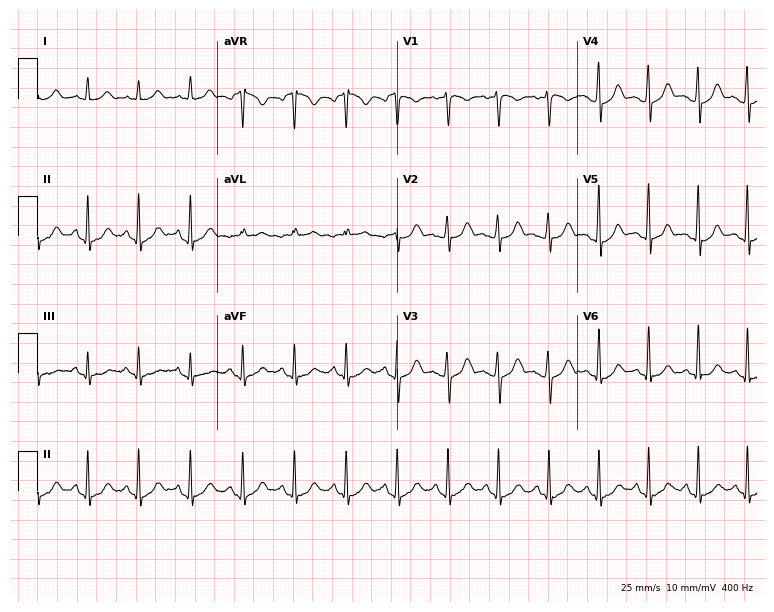
12-lead ECG from a female patient, 21 years old. No first-degree AV block, right bundle branch block, left bundle branch block, sinus bradycardia, atrial fibrillation or sinus tachycardia recorded for this tracing.